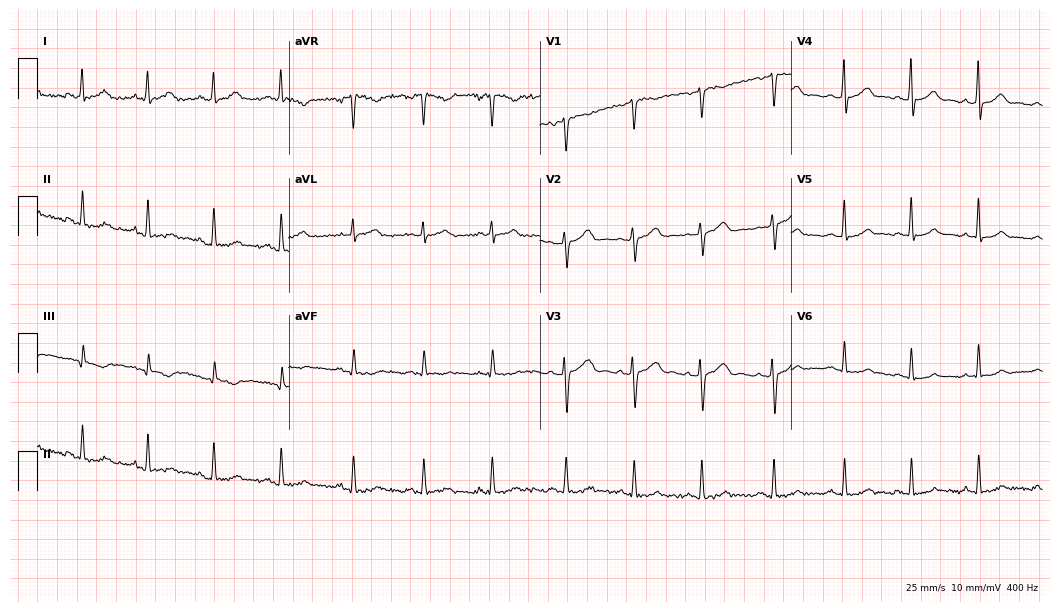
12-lead ECG from a 41-year-old female (10.2-second recording at 400 Hz). No first-degree AV block, right bundle branch block (RBBB), left bundle branch block (LBBB), sinus bradycardia, atrial fibrillation (AF) or sinus tachycardia recorded for this tracing. Only these six findings were labelled.